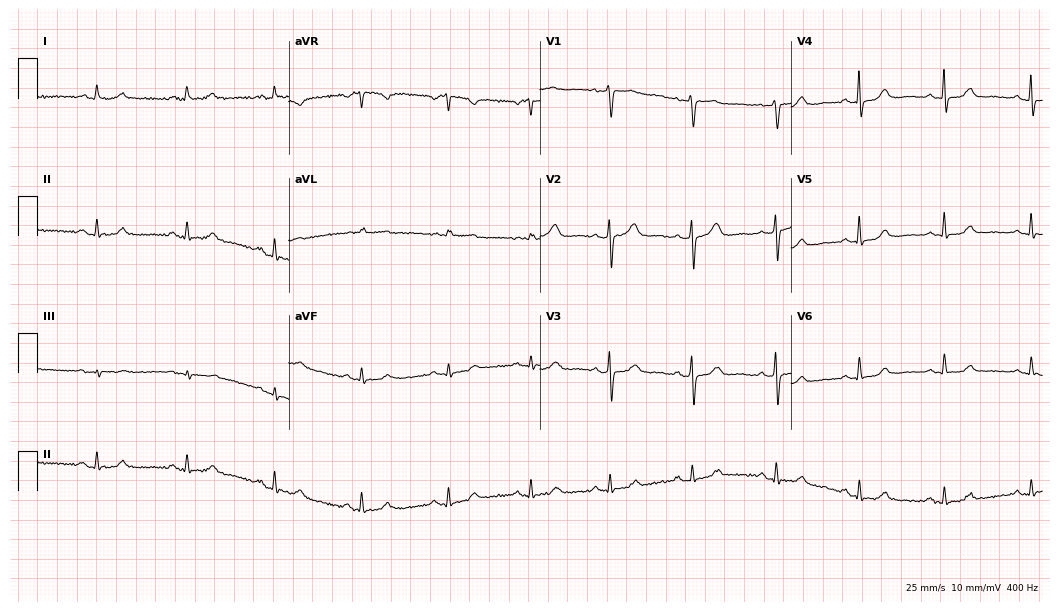
12-lead ECG from a 66-year-old female. Screened for six findings — first-degree AV block, right bundle branch block (RBBB), left bundle branch block (LBBB), sinus bradycardia, atrial fibrillation (AF), sinus tachycardia — none is recorded. Only these six findings were labelled.